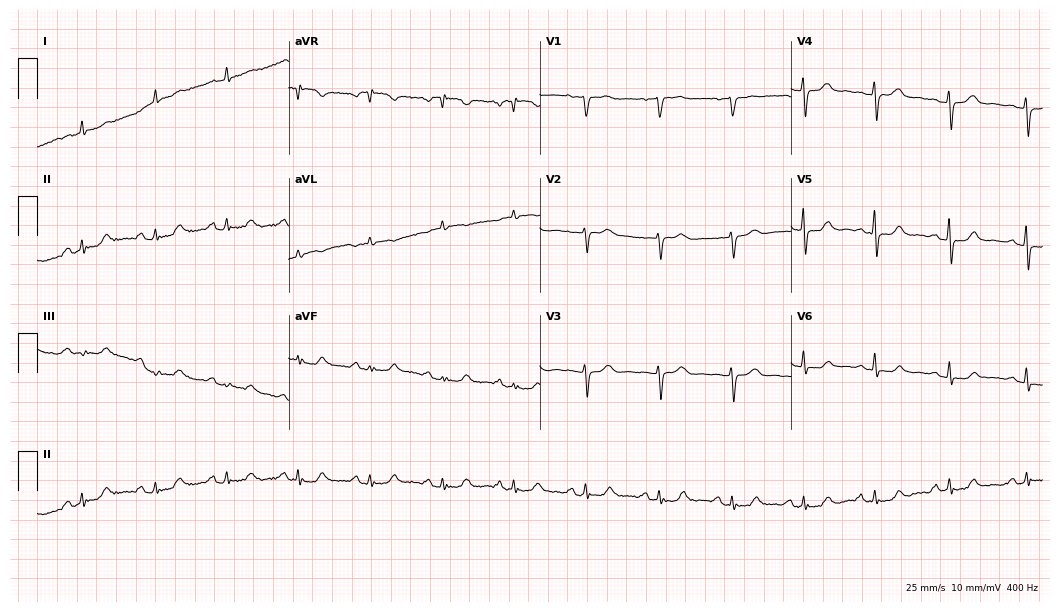
Standard 12-lead ECG recorded from a 55-year-old female patient (10.2-second recording at 400 Hz). None of these six findings is recorded: first-degree AV block, right bundle branch block (RBBB), left bundle branch block (LBBB), sinus bradycardia, atrial fibrillation (AF), sinus tachycardia. Findings outside these six are not listed.